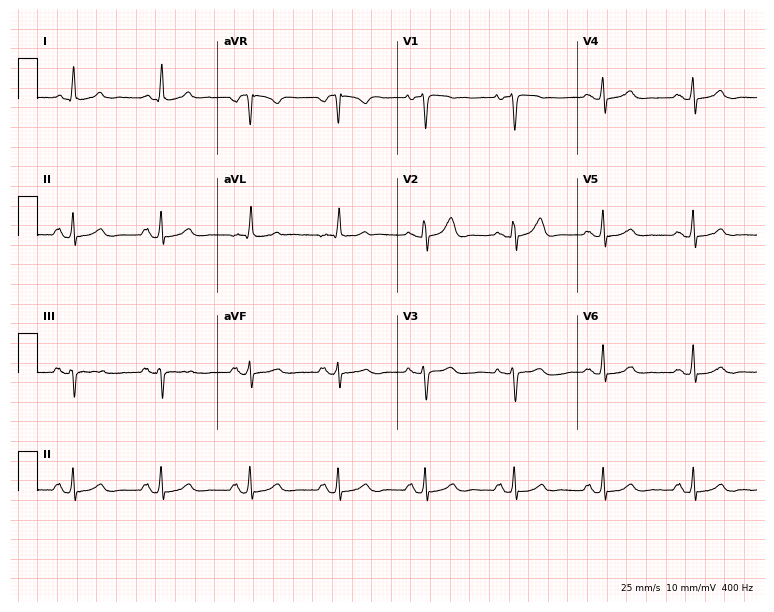
Resting 12-lead electrocardiogram (7.3-second recording at 400 Hz). Patient: a female, 62 years old. Read as a normal ECG.